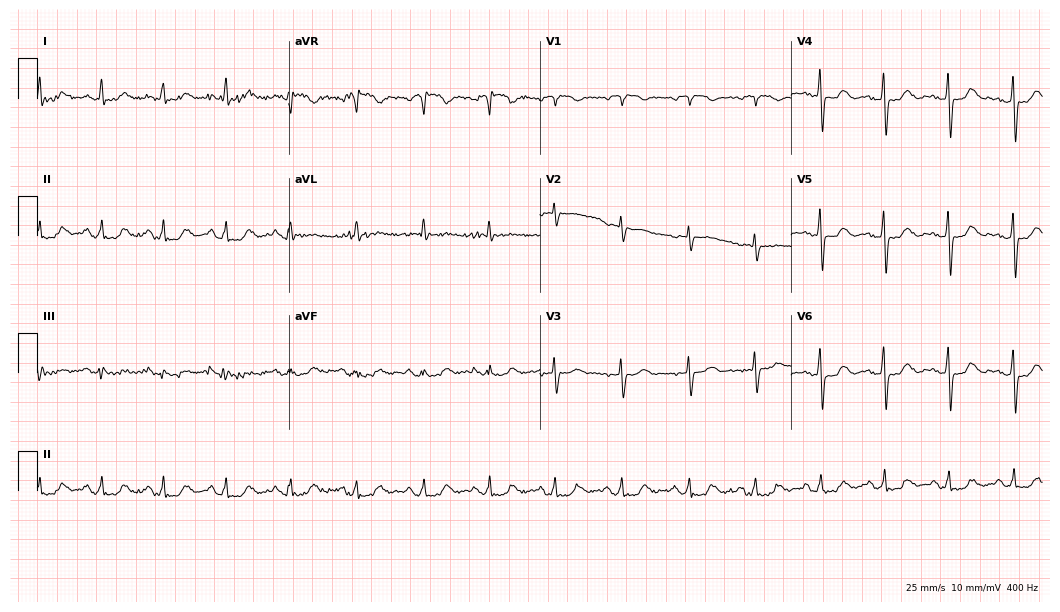
ECG — a 70-year-old woman. Screened for six findings — first-degree AV block, right bundle branch block, left bundle branch block, sinus bradycardia, atrial fibrillation, sinus tachycardia — none is recorded. Other findings, if any, are not listed.